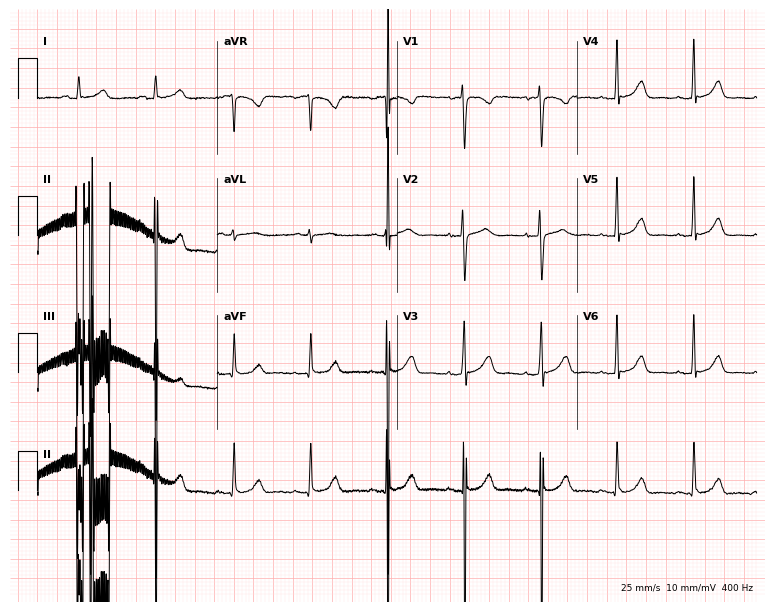
ECG — a woman, 34 years old. Screened for six findings — first-degree AV block, right bundle branch block, left bundle branch block, sinus bradycardia, atrial fibrillation, sinus tachycardia — none is recorded.